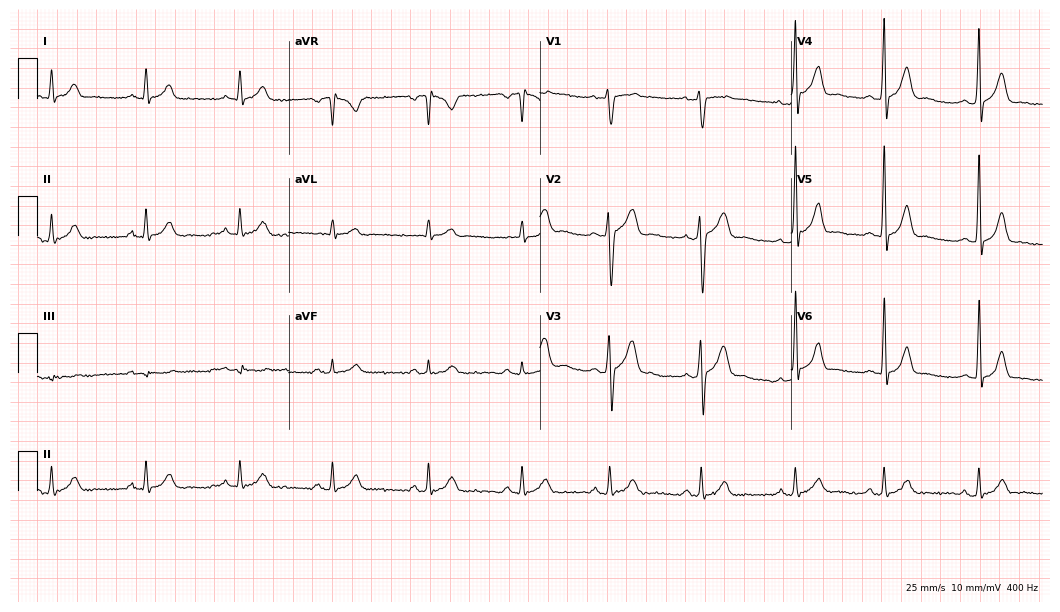
Electrocardiogram, a 24-year-old male. Overall reading on record: normal ECG.